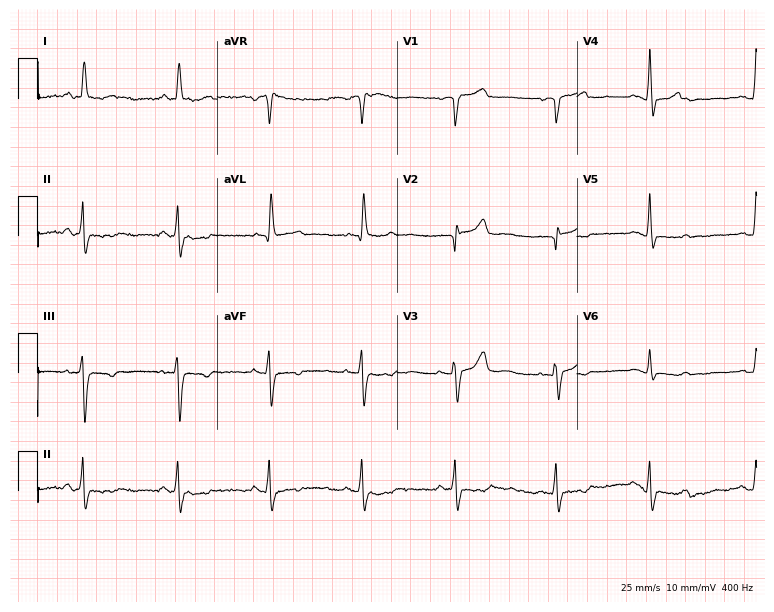
ECG — an 80-year-old female. Screened for six findings — first-degree AV block, right bundle branch block, left bundle branch block, sinus bradycardia, atrial fibrillation, sinus tachycardia — none is recorded.